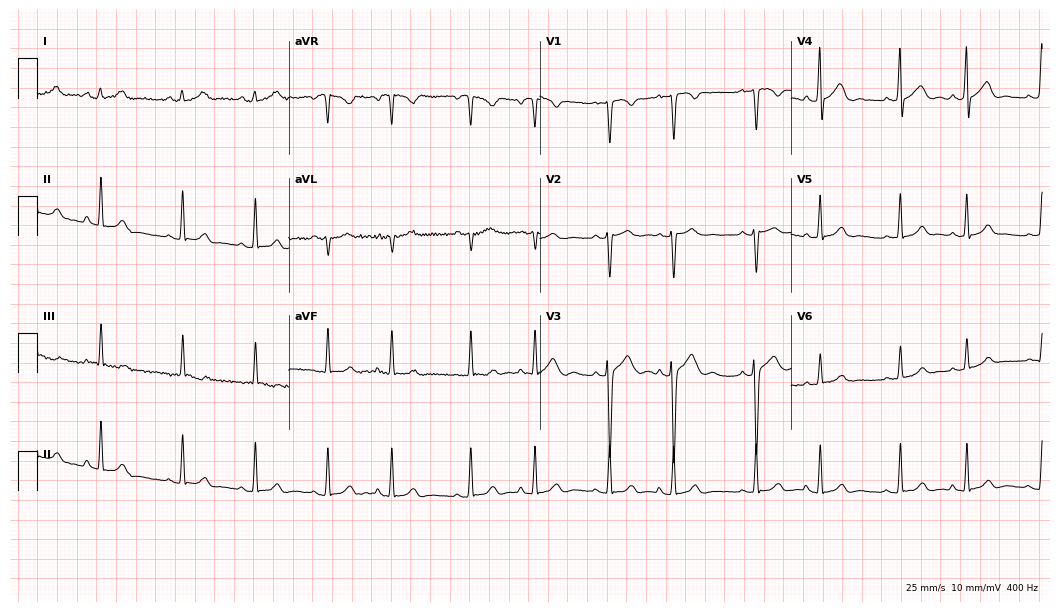
Resting 12-lead electrocardiogram (10.2-second recording at 400 Hz). Patient: a female, 17 years old. Read as a normal ECG.